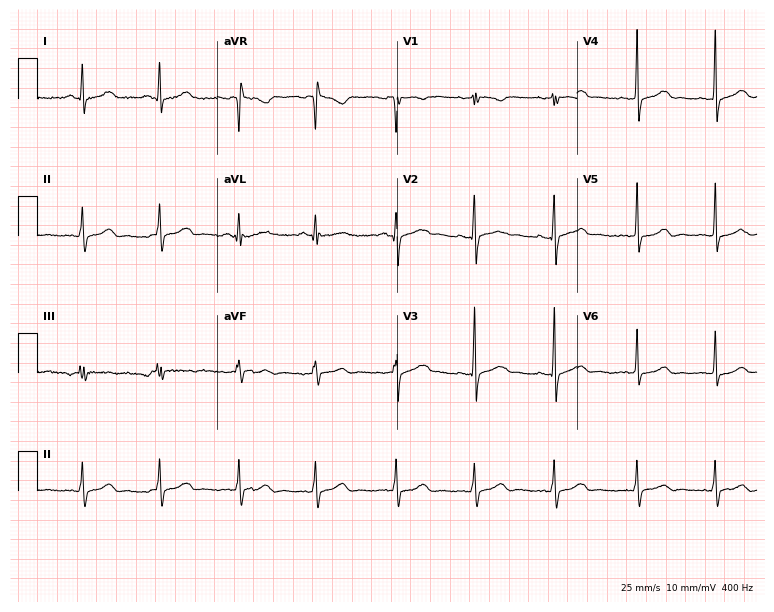
12-lead ECG (7.3-second recording at 400 Hz) from a female, 27 years old. Screened for six findings — first-degree AV block, right bundle branch block, left bundle branch block, sinus bradycardia, atrial fibrillation, sinus tachycardia — none is recorded.